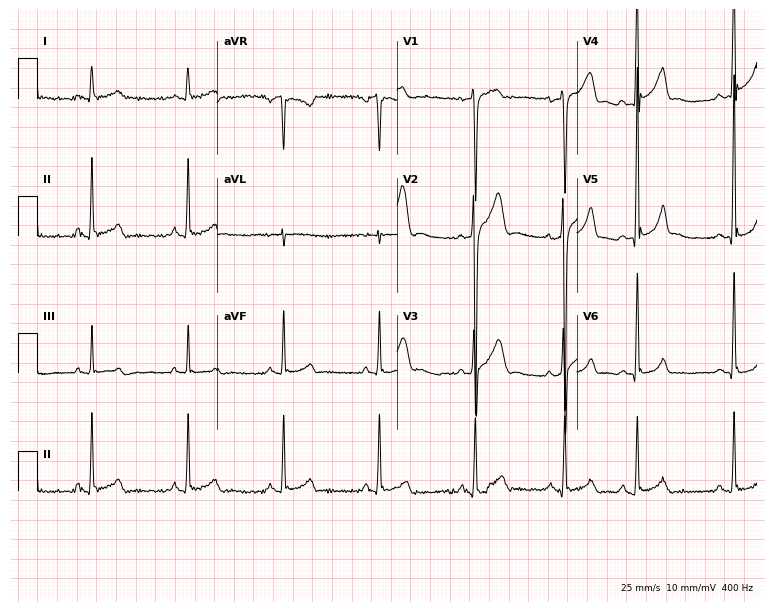
ECG — a 23-year-old man. Screened for six findings — first-degree AV block, right bundle branch block, left bundle branch block, sinus bradycardia, atrial fibrillation, sinus tachycardia — none is recorded. Other findings, if any, are not listed.